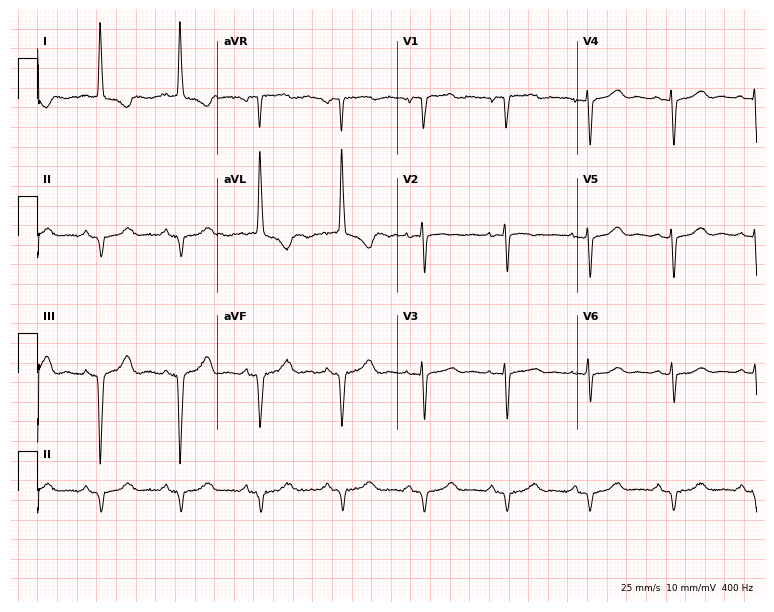
12-lead ECG from a female, 48 years old (7.3-second recording at 400 Hz). No first-degree AV block, right bundle branch block (RBBB), left bundle branch block (LBBB), sinus bradycardia, atrial fibrillation (AF) or sinus tachycardia recorded for this tracing.